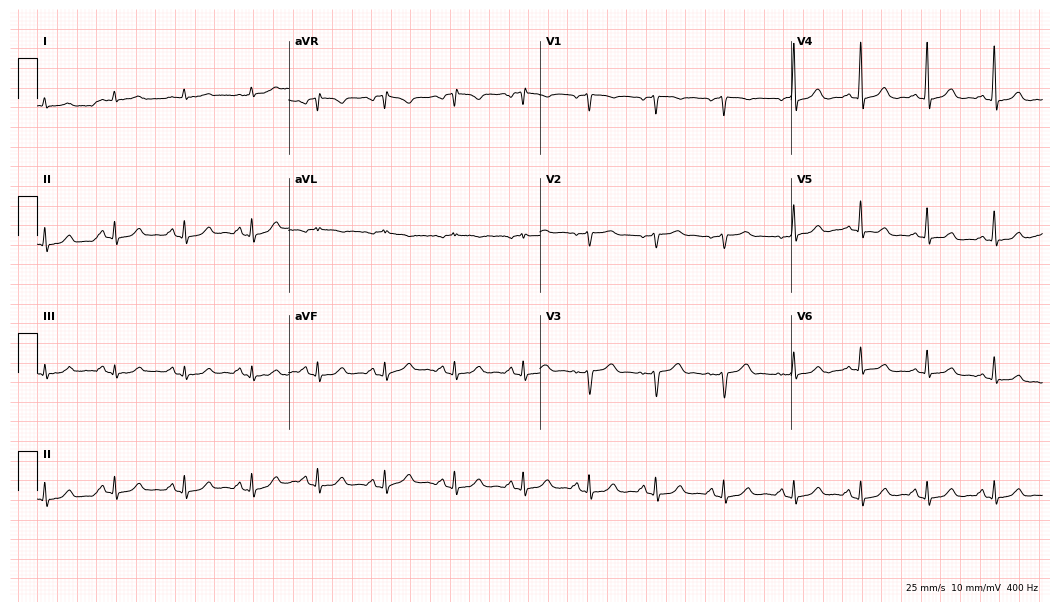
12-lead ECG from a 48-year-old female patient. No first-degree AV block, right bundle branch block (RBBB), left bundle branch block (LBBB), sinus bradycardia, atrial fibrillation (AF) or sinus tachycardia recorded for this tracing. Only these six findings were labelled.